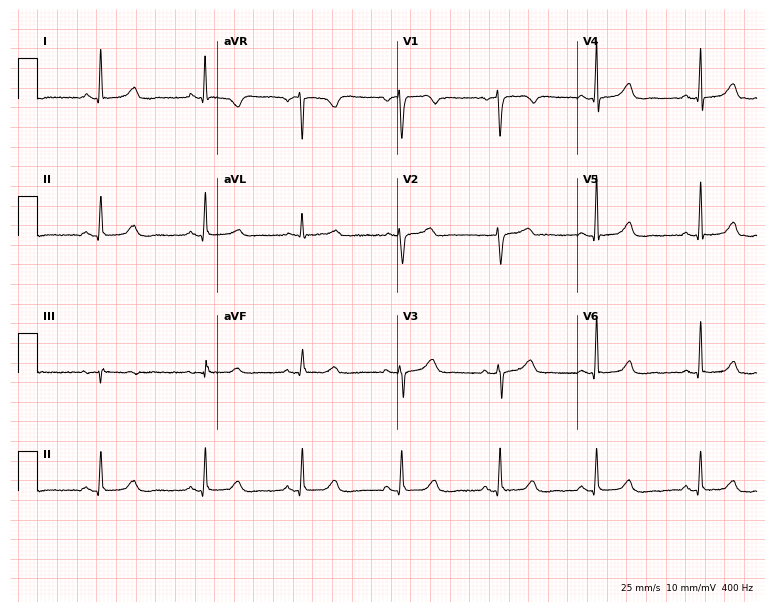
12-lead ECG from a 54-year-old female (7.3-second recording at 400 Hz). Recorded interpretation: within normal limits.